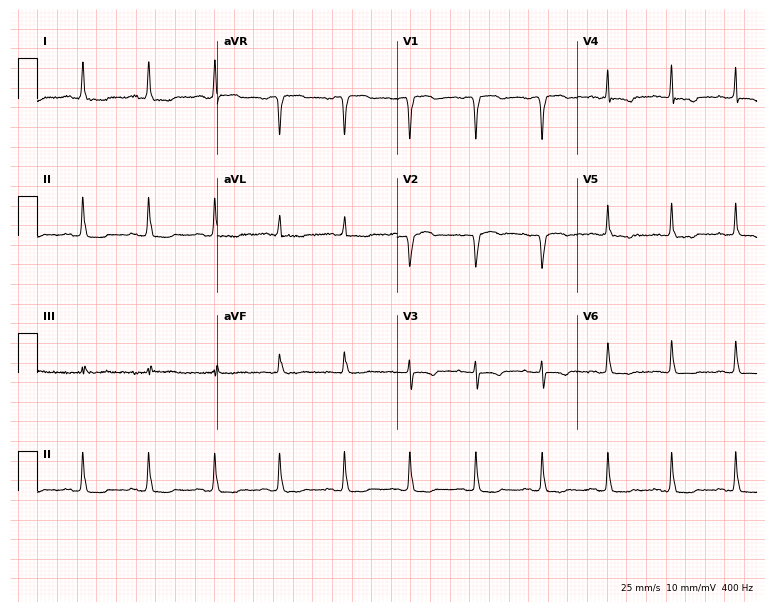
12-lead ECG (7.3-second recording at 400 Hz) from a 47-year-old female patient. Labelled as a normal ECG.